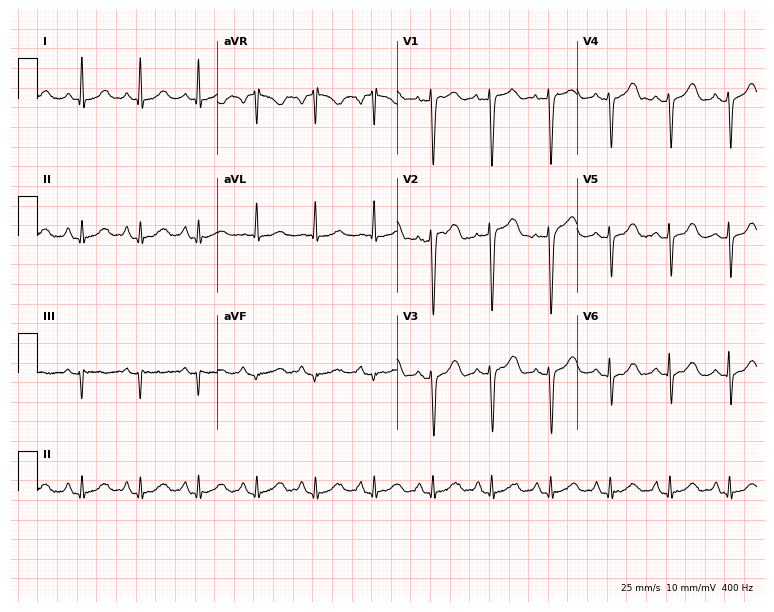
Standard 12-lead ECG recorded from a 45-year-old female patient. None of these six findings is recorded: first-degree AV block, right bundle branch block, left bundle branch block, sinus bradycardia, atrial fibrillation, sinus tachycardia. Other findings, if any, are not listed.